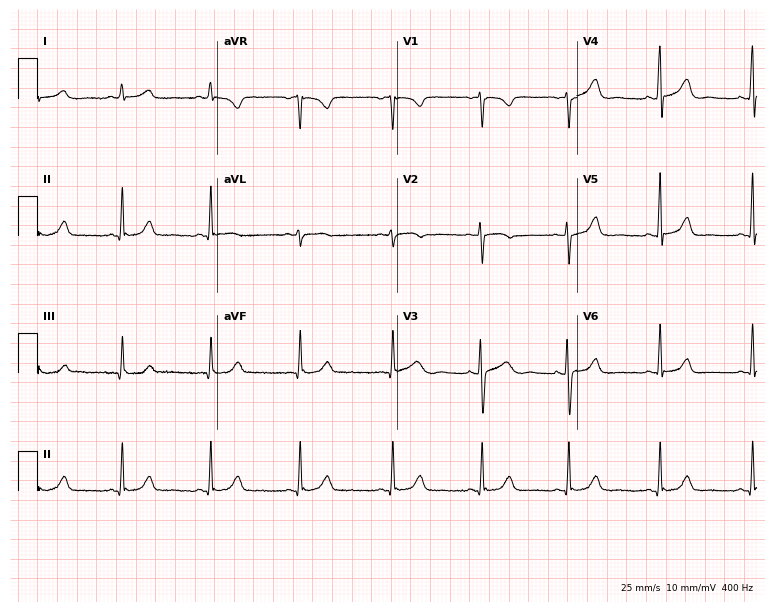
12-lead ECG from a female, 34 years old. Labelled as a normal ECG.